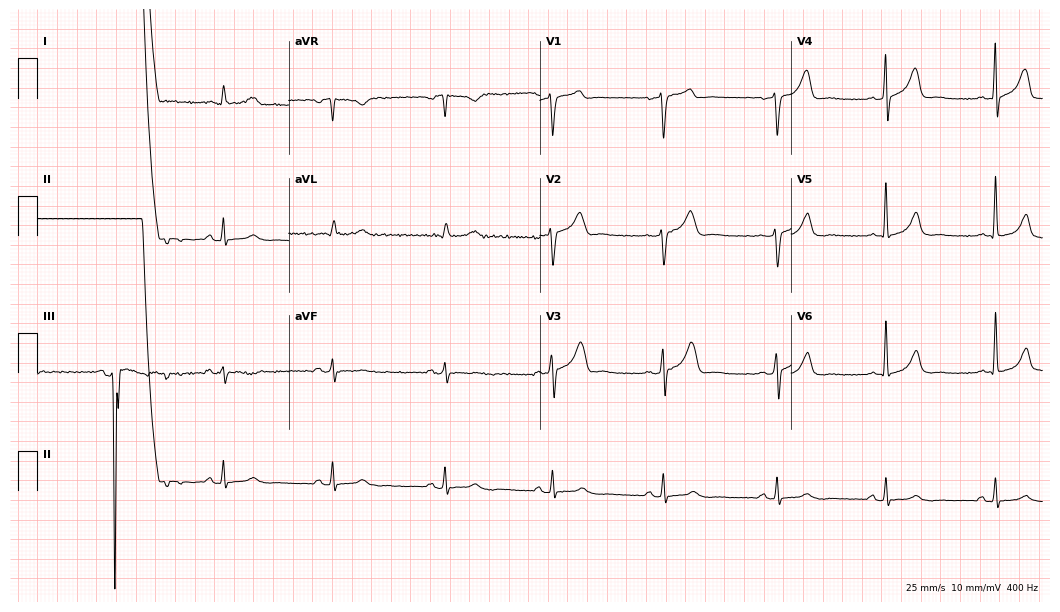
12-lead ECG from a 64-year-old male. No first-degree AV block, right bundle branch block, left bundle branch block, sinus bradycardia, atrial fibrillation or sinus tachycardia recorded for this tracing. Findings outside these six are not listed.